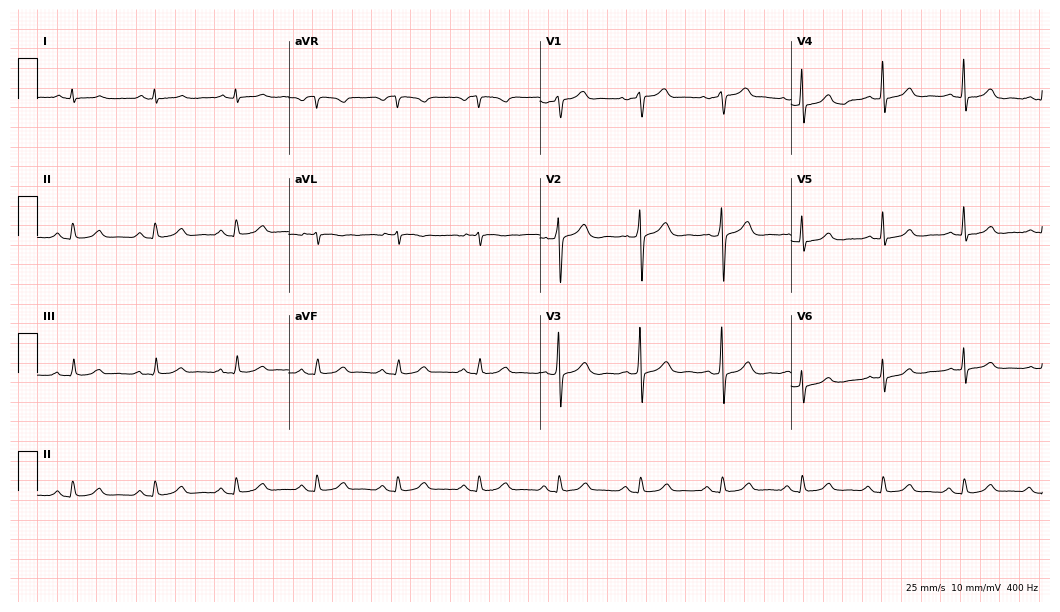
Electrocardiogram, a male, 61 years old. Overall reading on record: normal ECG.